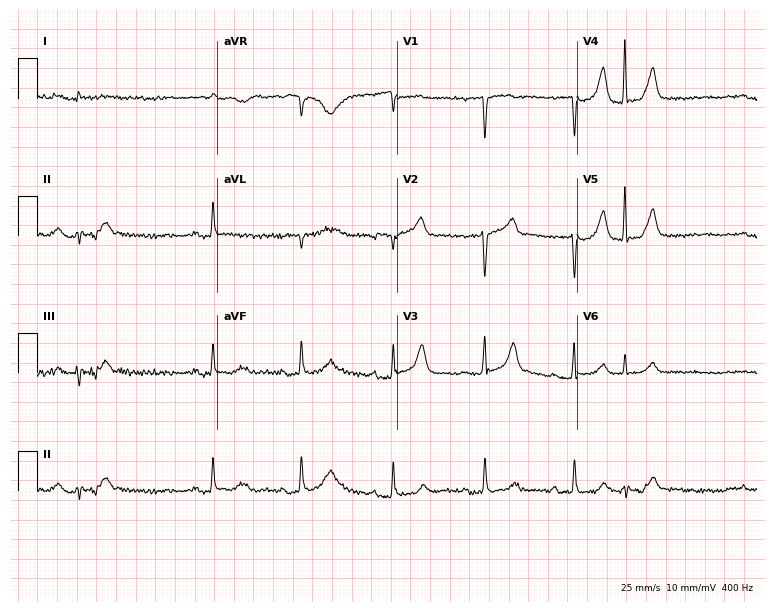
12-lead ECG from a 61-year-old female. No first-degree AV block, right bundle branch block, left bundle branch block, sinus bradycardia, atrial fibrillation or sinus tachycardia recorded for this tracing. Only these six findings were labelled.